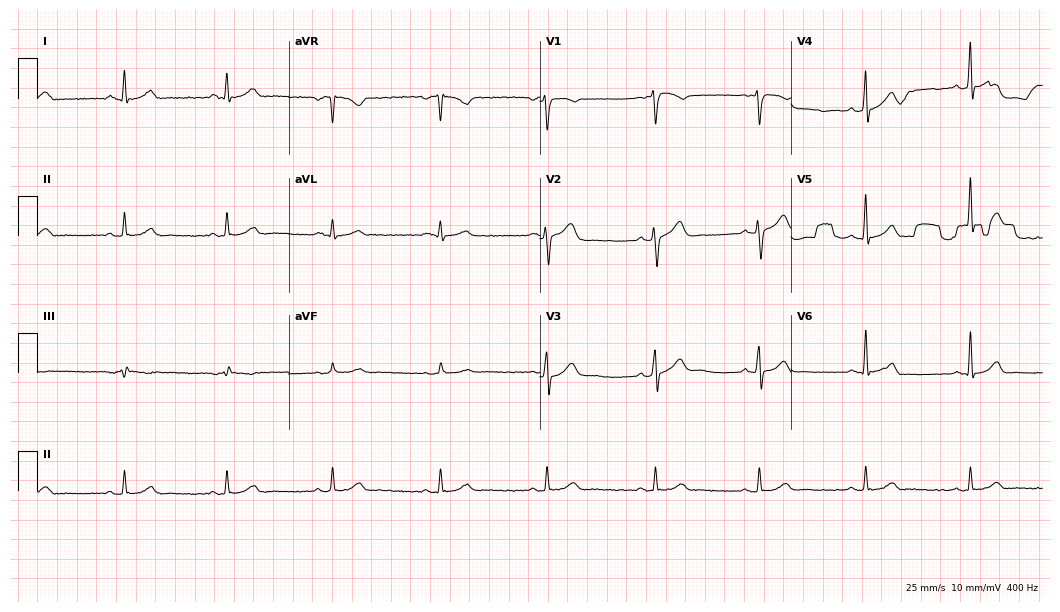
12-lead ECG from a male, 33 years old. Labelled as a normal ECG.